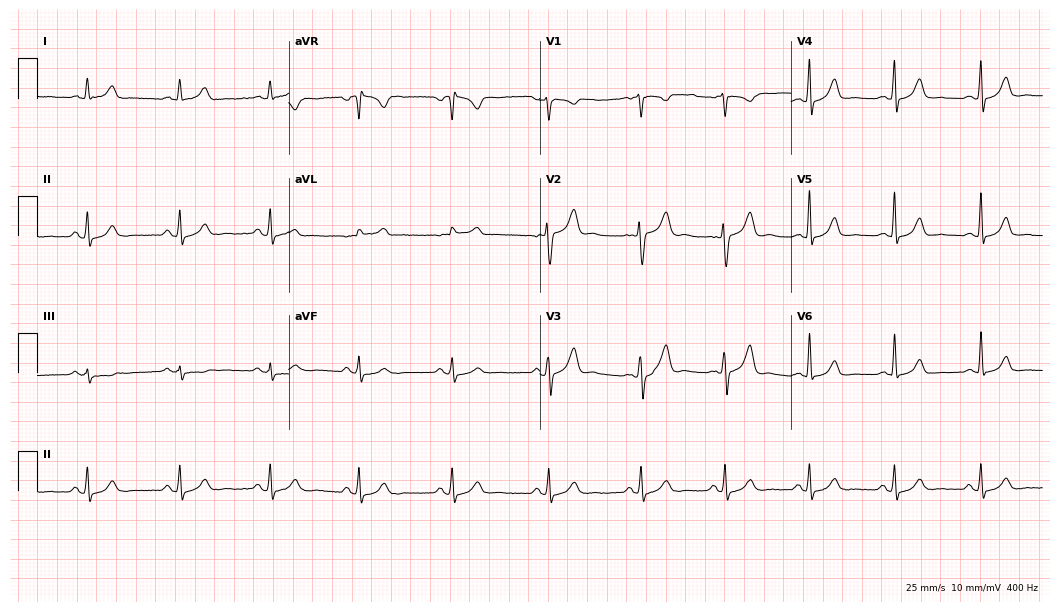
Resting 12-lead electrocardiogram (10.2-second recording at 400 Hz). Patient: a 30-year-old woman. Read as a normal ECG.